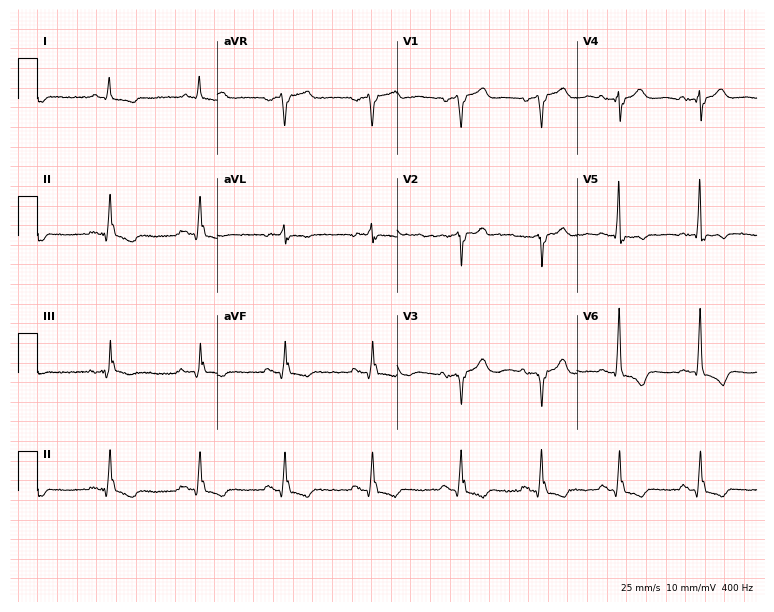
12-lead ECG from a 50-year-old male patient. No first-degree AV block, right bundle branch block (RBBB), left bundle branch block (LBBB), sinus bradycardia, atrial fibrillation (AF) or sinus tachycardia recorded for this tracing.